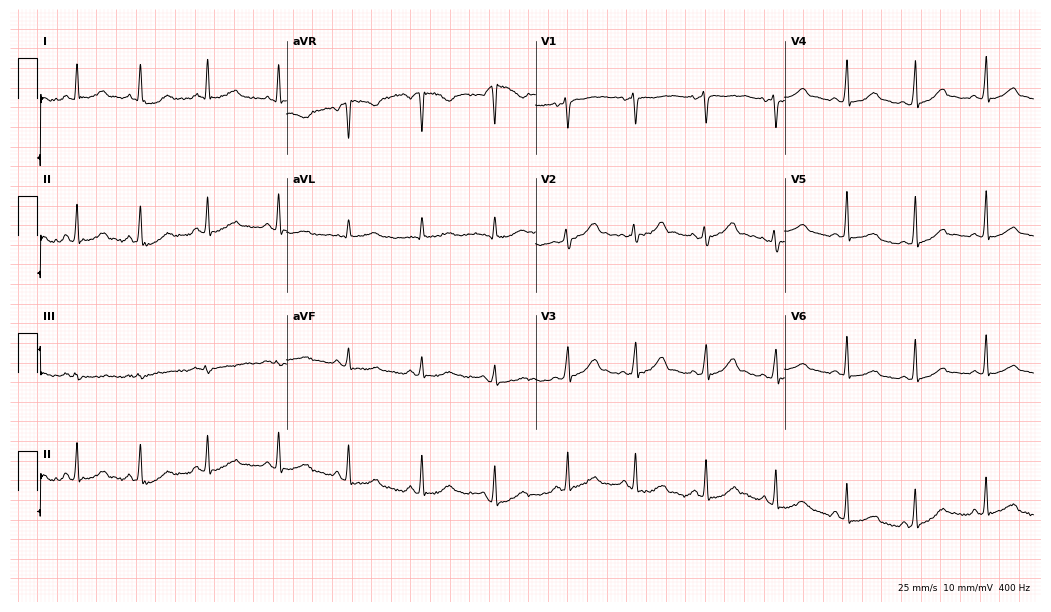
Standard 12-lead ECG recorded from a 38-year-old female. Read as a normal ECG.